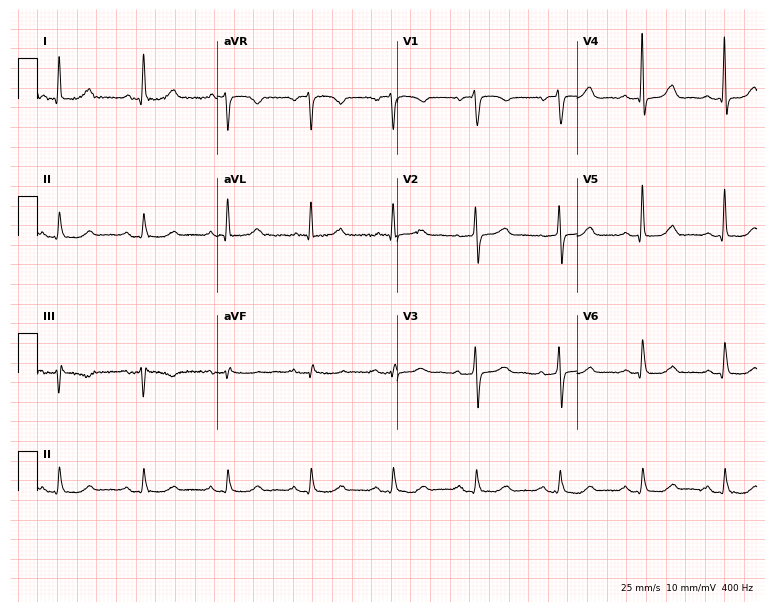
Resting 12-lead electrocardiogram (7.3-second recording at 400 Hz). Patient: an 82-year-old female. None of these six findings is recorded: first-degree AV block, right bundle branch block (RBBB), left bundle branch block (LBBB), sinus bradycardia, atrial fibrillation (AF), sinus tachycardia.